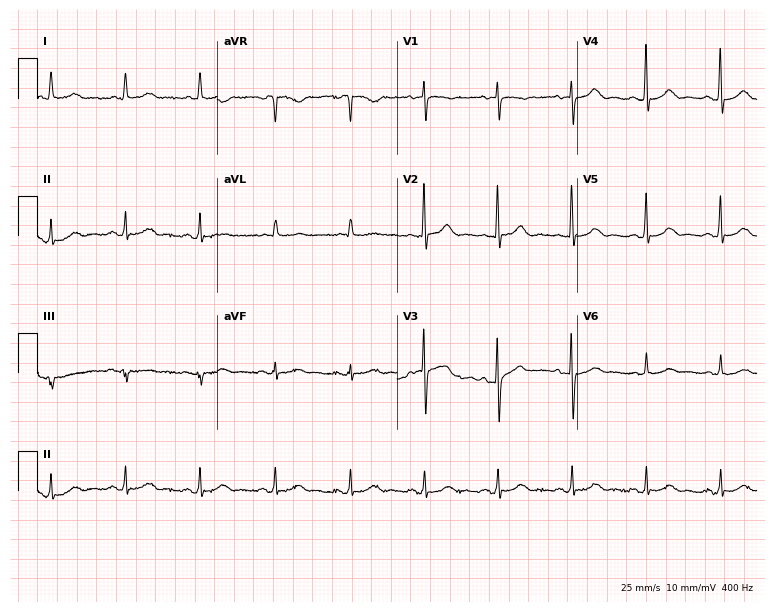
Standard 12-lead ECG recorded from a female patient, 81 years old. None of these six findings is recorded: first-degree AV block, right bundle branch block, left bundle branch block, sinus bradycardia, atrial fibrillation, sinus tachycardia.